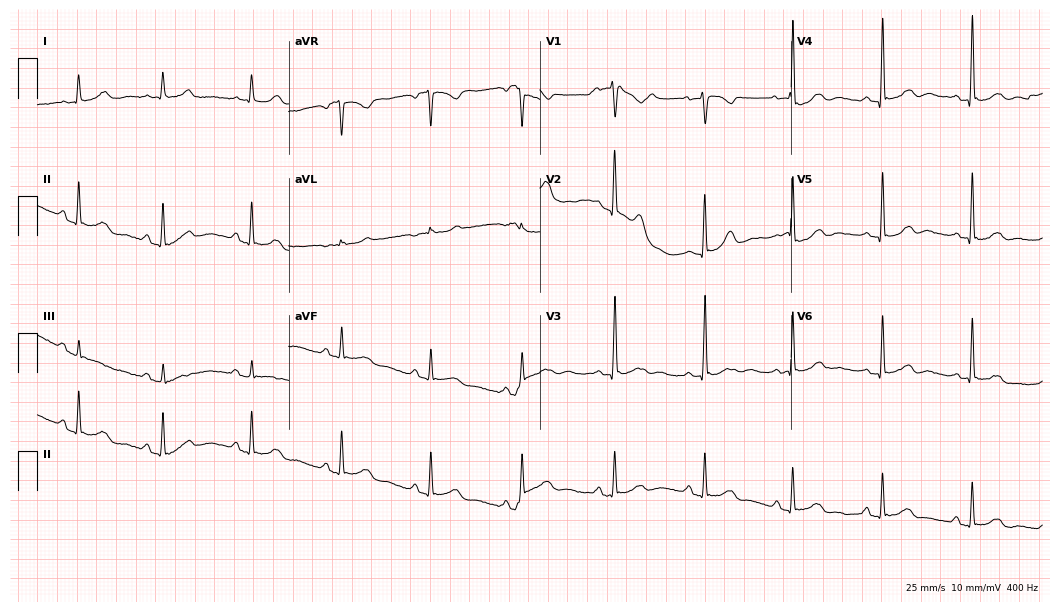
12-lead ECG from a 55-year-old female patient. Recorded interpretation: within normal limits.